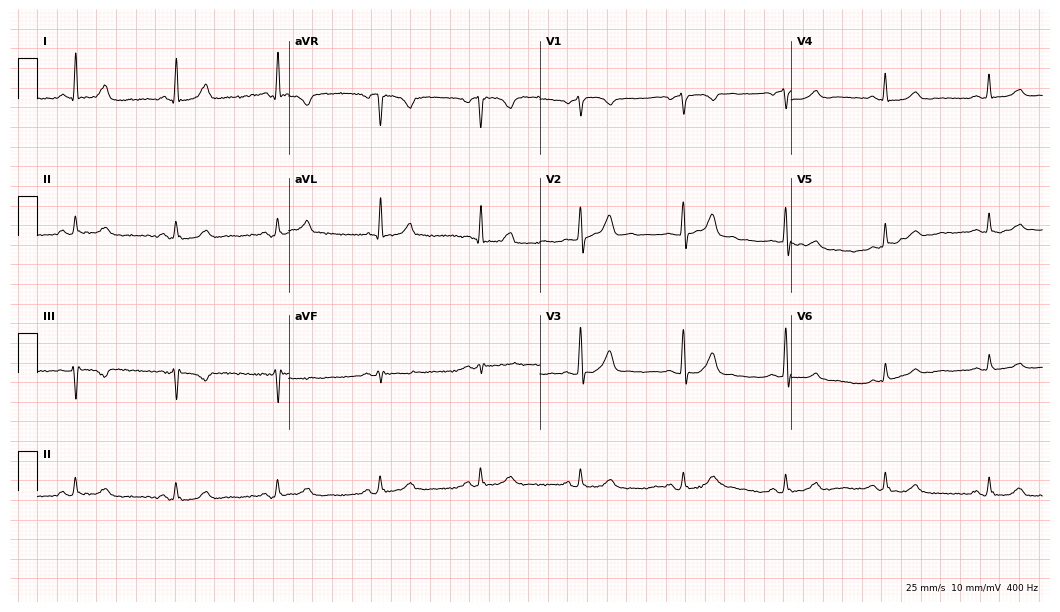
Electrocardiogram, a 65-year-old female. Overall reading on record: normal ECG.